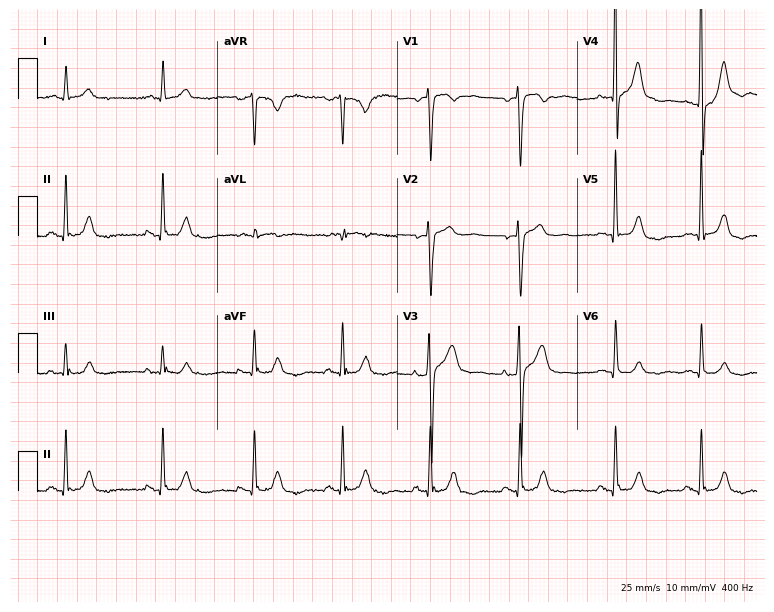
Standard 12-lead ECG recorded from a male patient, 52 years old. None of these six findings is recorded: first-degree AV block, right bundle branch block (RBBB), left bundle branch block (LBBB), sinus bradycardia, atrial fibrillation (AF), sinus tachycardia. Findings outside these six are not listed.